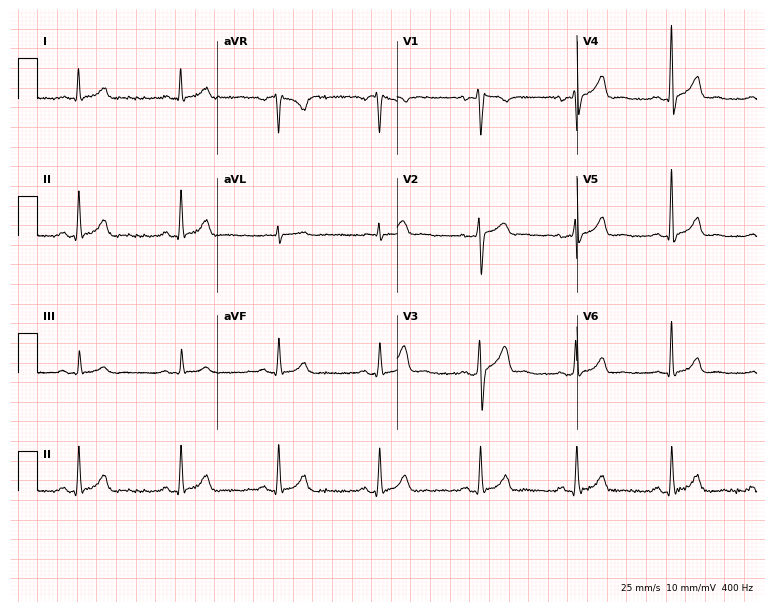
ECG — a 43-year-old male patient. Labelled as a normal ECG.